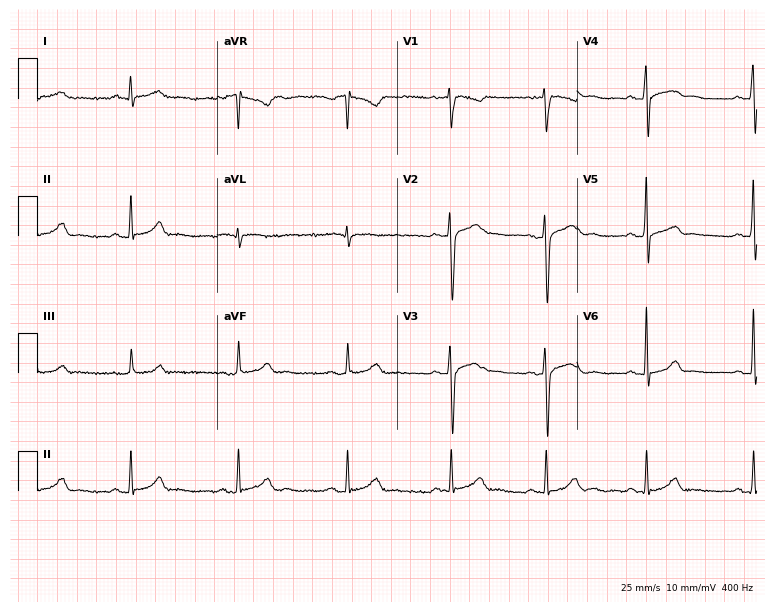
Standard 12-lead ECG recorded from a male patient, 30 years old. None of these six findings is recorded: first-degree AV block, right bundle branch block, left bundle branch block, sinus bradycardia, atrial fibrillation, sinus tachycardia.